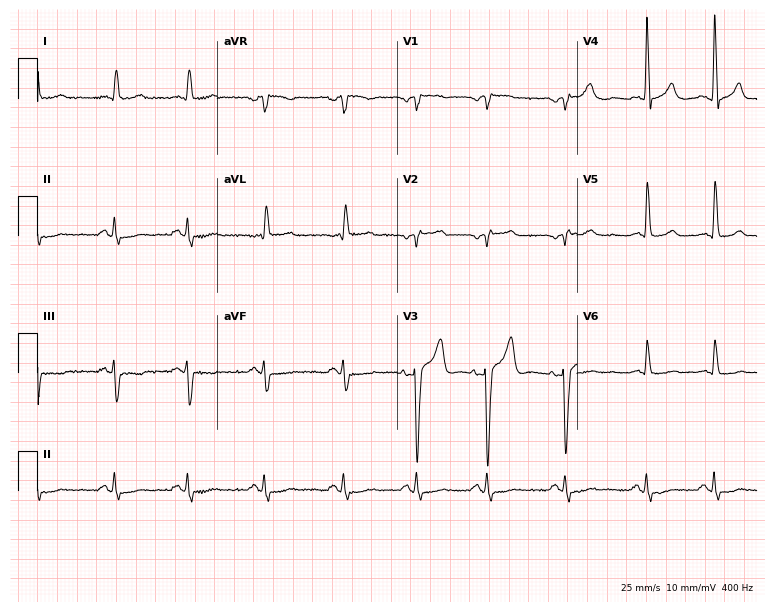
12-lead ECG from a 79-year-old male patient. Screened for six findings — first-degree AV block, right bundle branch block, left bundle branch block, sinus bradycardia, atrial fibrillation, sinus tachycardia — none is recorded. Findings outside these six are not listed.